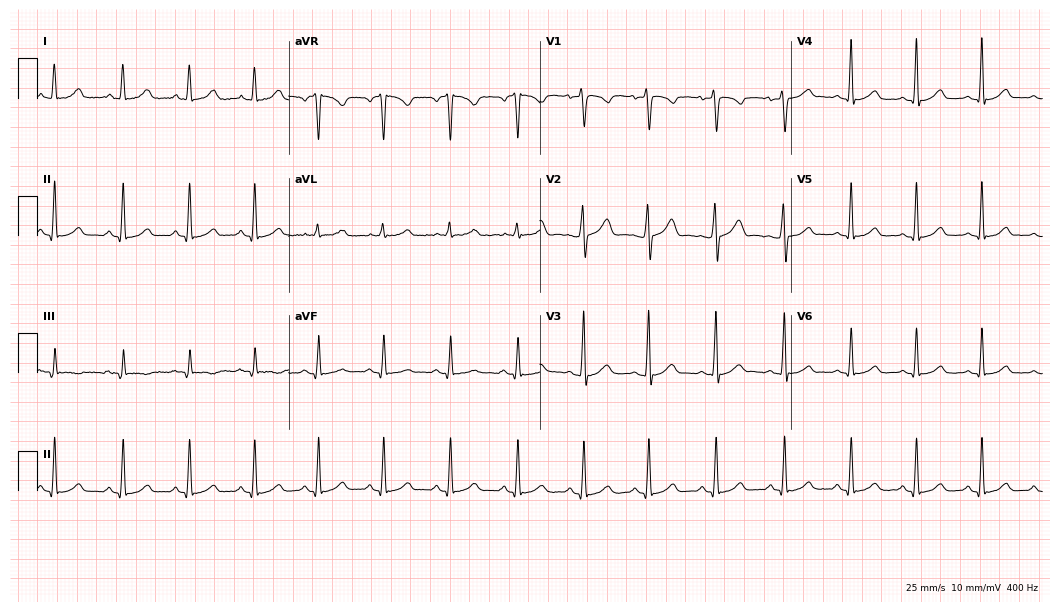
12-lead ECG from a female patient, 26 years old. Labelled as a normal ECG.